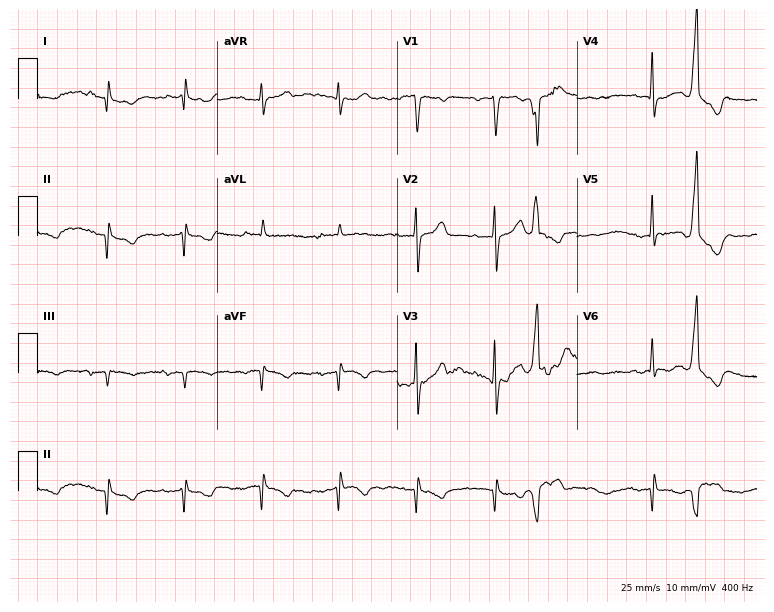
Electrocardiogram, an 85-year-old man. Of the six screened findings (first-degree AV block, right bundle branch block (RBBB), left bundle branch block (LBBB), sinus bradycardia, atrial fibrillation (AF), sinus tachycardia), none is recorded.